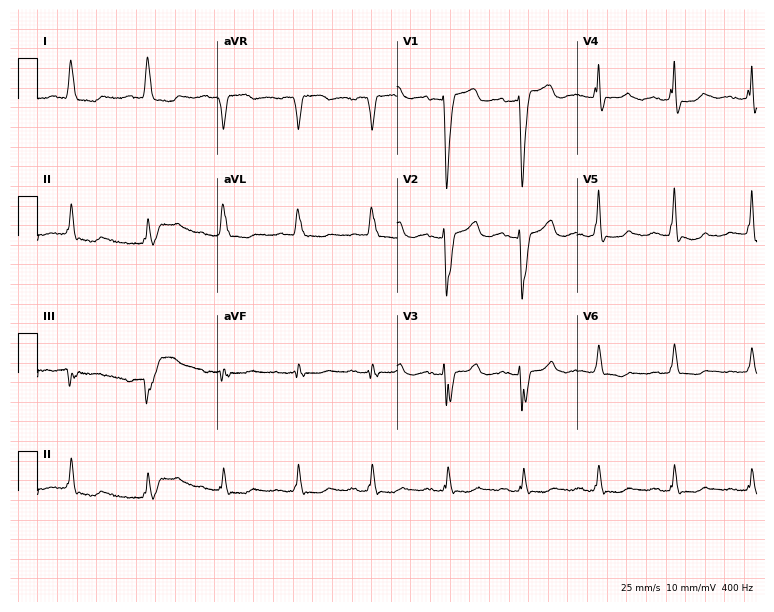
ECG — a 68-year-old woman. Findings include left bundle branch block.